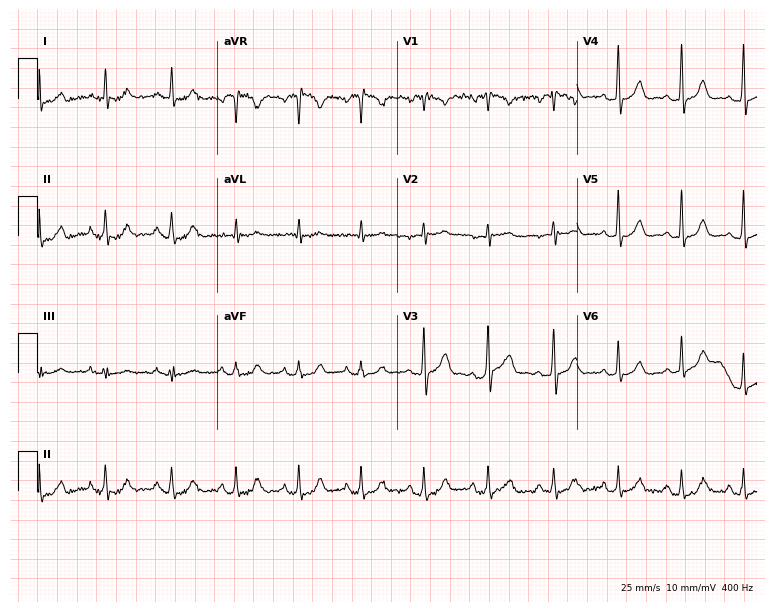
12-lead ECG (7.3-second recording at 400 Hz) from a 52-year-old male. Screened for six findings — first-degree AV block, right bundle branch block (RBBB), left bundle branch block (LBBB), sinus bradycardia, atrial fibrillation (AF), sinus tachycardia — none is recorded. Only these six findings were labelled.